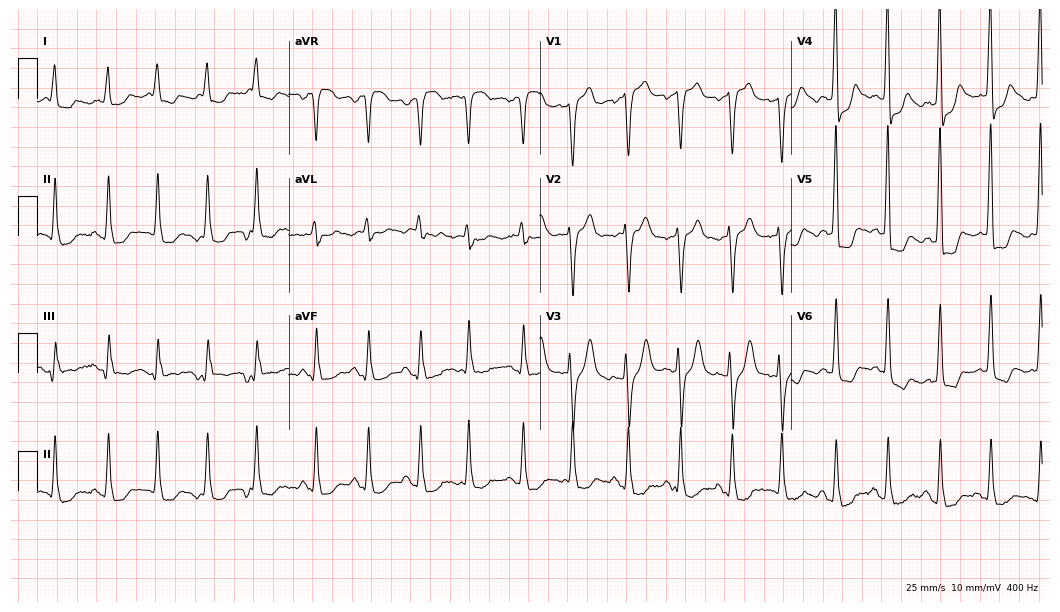
Standard 12-lead ECG recorded from a 53-year-old woman (10.2-second recording at 400 Hz). The tracing shows sinus tachycardia (a sinus rate of 100 beats per minute or more).